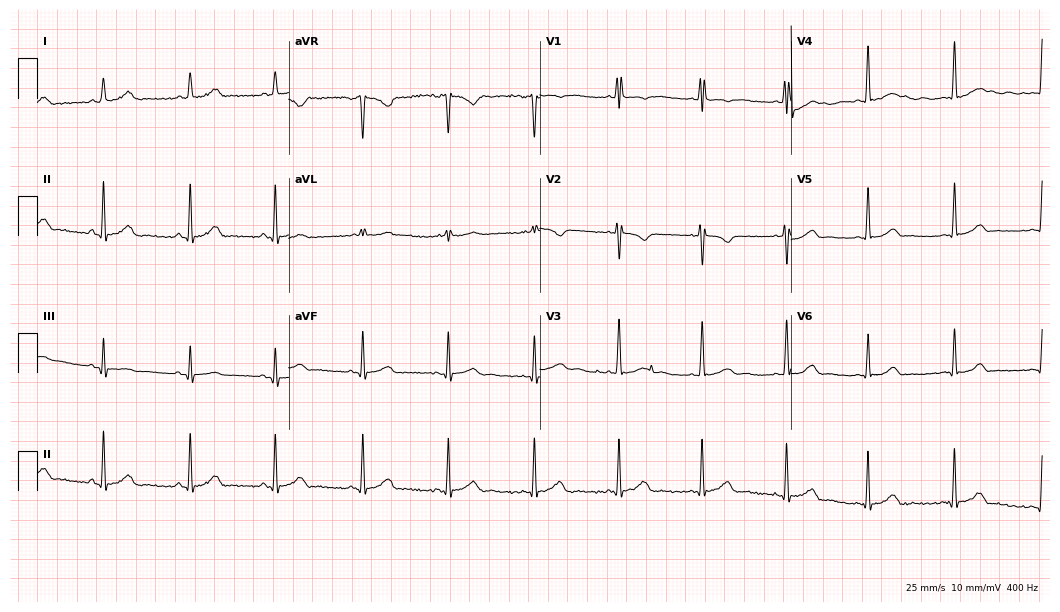
12-lead ECG (10.2-second recording at 400 Hz) from a woman, 25 years old. Screened for six findings — first-degree AV block, right bundle branch block, left bundle branch block, sinus bradycardia, atrial fibrillation, sinus tachycardia — none is recorded.